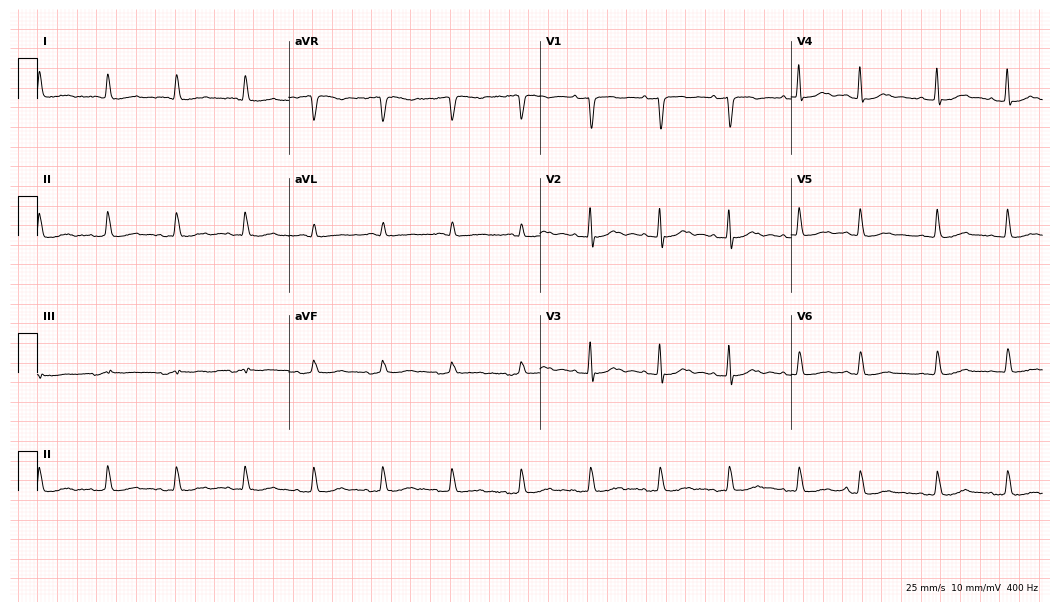
Resting 12-lead electrocardiogram (10.2-second recording at 400 Hz). Patient: a 75-year-old female. None of these six findings is recorded: first-degree AV block, right bundle branch block, left bundle branch block, sinus bradycardia, atrial fibrillation, sinus tachycardia.